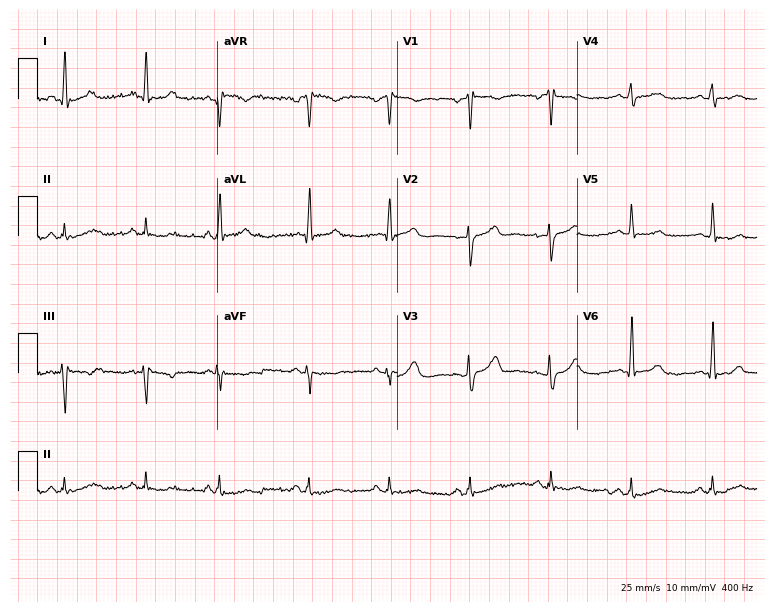
Standard 12-lead ECG recorded from a female patient, 66 years old. None of these six findings is recorded: first-degree AV block, right bundle branch block (RBBB), left bundle branch block (LBBB), sinus bradycardia, atrial fibrillation (AF), sinus tachycardia. Only these six findings were labelled.